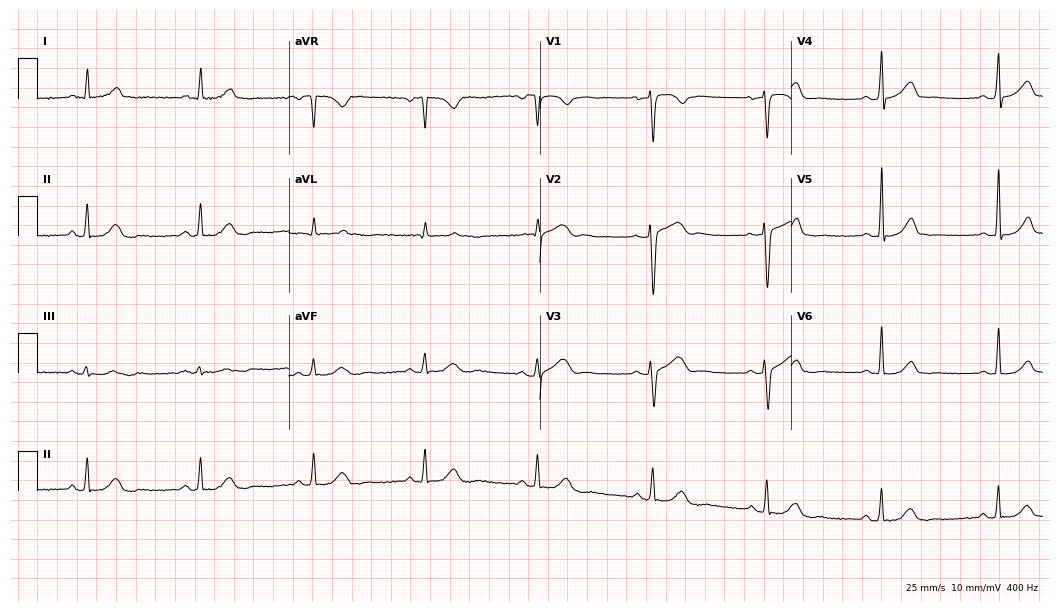
12-lead ECG from a 59-year-old female patient (10.2-second recording at 400 Hz). No first-degree AV block, right bundle branch block, left bundle branch block, sinus bradycardia, atrial fibrillation or sinus tachycardia recorded for this tracing. Only these six findings were labelled.